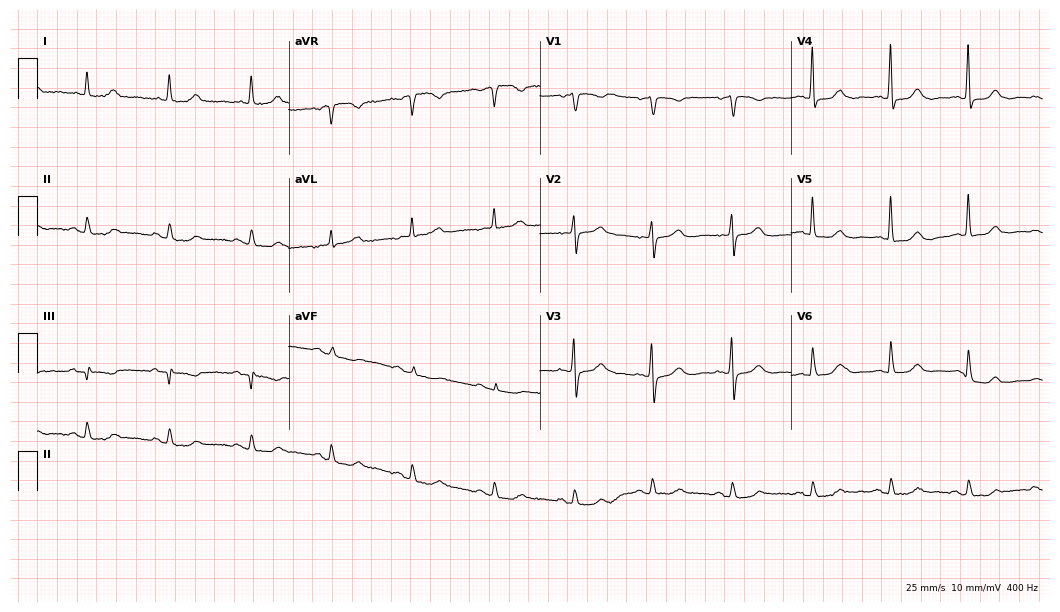
ECG — a 79-year-old woman. Screened for six findings — first-degree AV block, right bundle branch block, left bundle branch block, sinus bradycardia, atrial fibrillation, sinus tachycardia — none is recorded. Other findings, if any, are not listed.